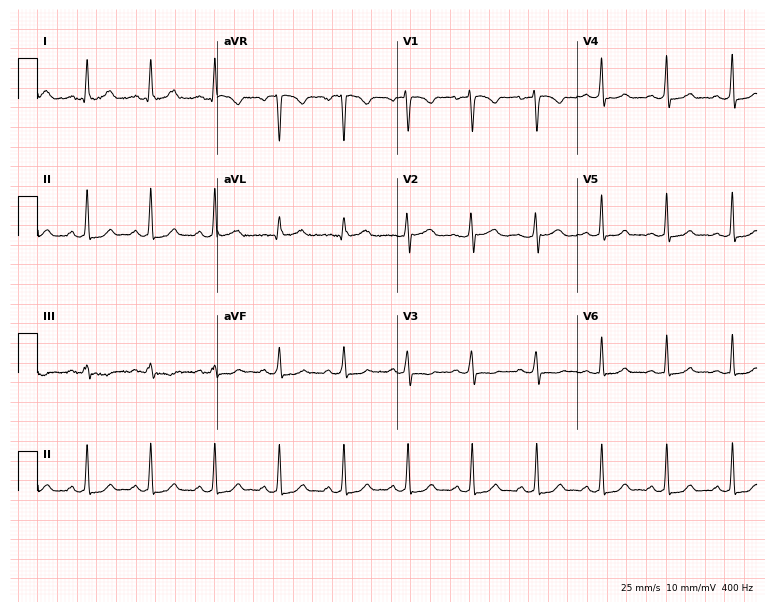
Electrocardiogram (7.3-second recording at 400 Hz), a woman, 23 years old. Overall reading on record: normal ECG.